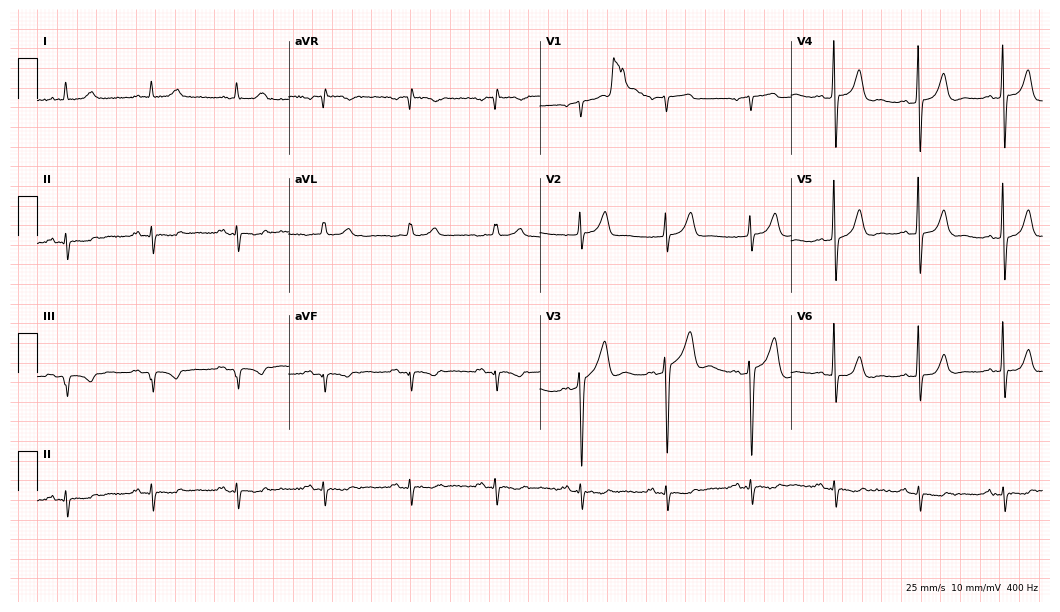
12-lead ECG from a man, 76 years old. Screened for six findings — first-degree AV block, right bundle branch block, left bundle branch block, sinus bradycardia, atrial fibrillation, sinus tachycardia — none is recorded.